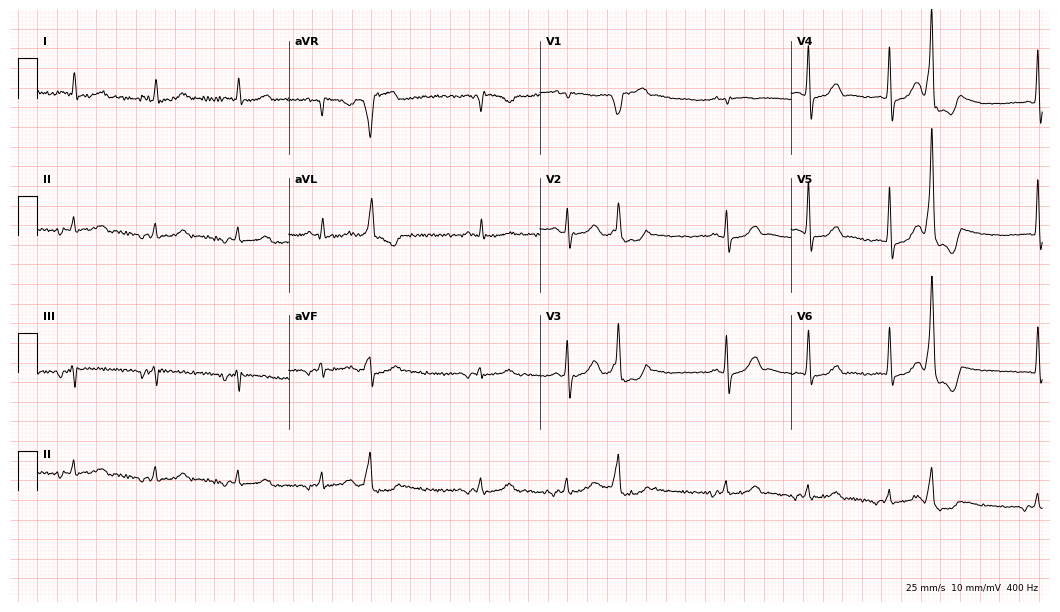
12-lead ECG from a male patient, 85 years old. No first-degree AV block, right bundle branch block, left bundle branch block, sinus bradycardia, atrial fibrillation or sinus tachycardia recorded for this tracing.